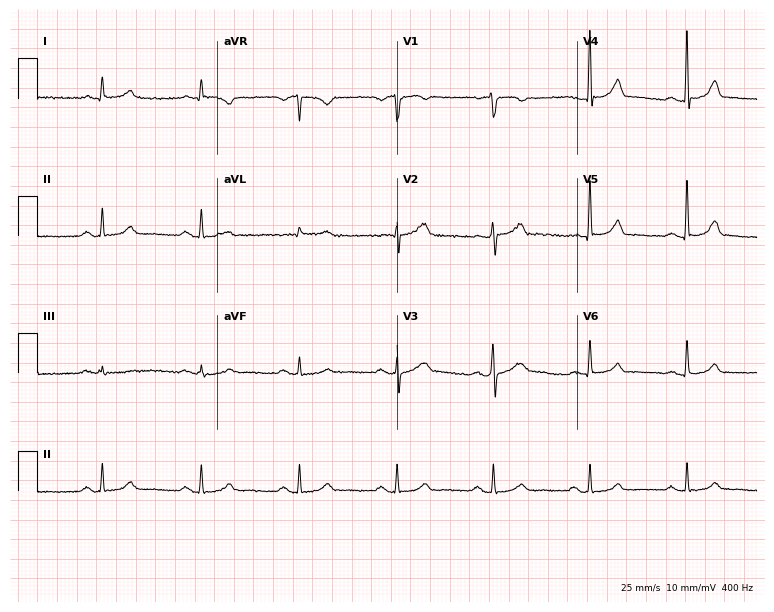
Resting 12-lead electrocardiogram (7.3-second recording at 400 Hz). Patient: a male, 64 years old. Read as a normal ECG.